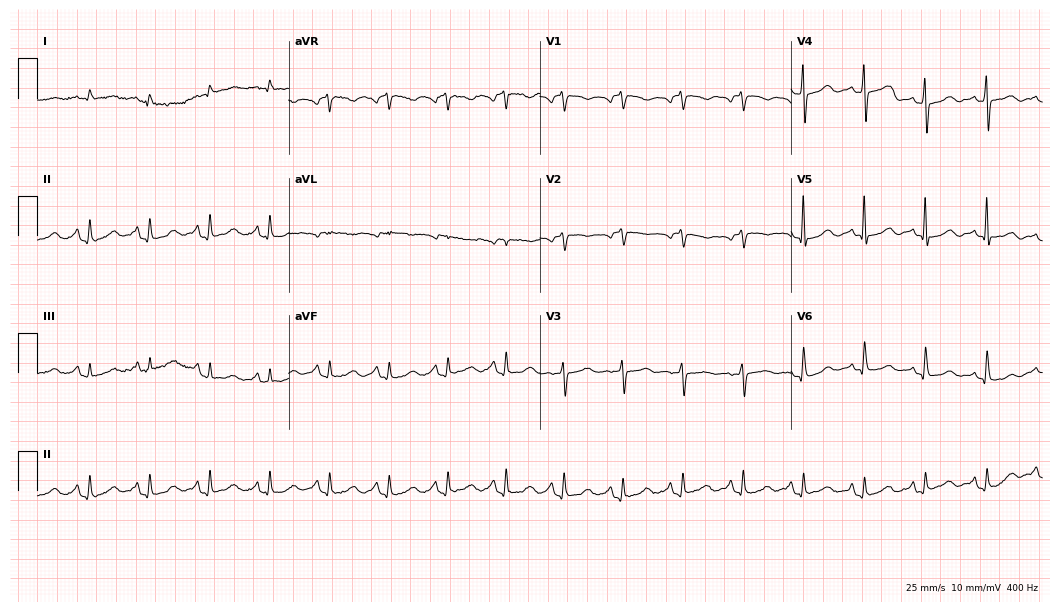
12-lead ECG (10.2-second recording at 400 Hz) from a 76-year-old woman. Screened for six findings — first-degree AV block, right bundle branch block, left bundle branch block, sinus bradycardia, atrial fibrillation, sinus tachycardia — none is recorded.